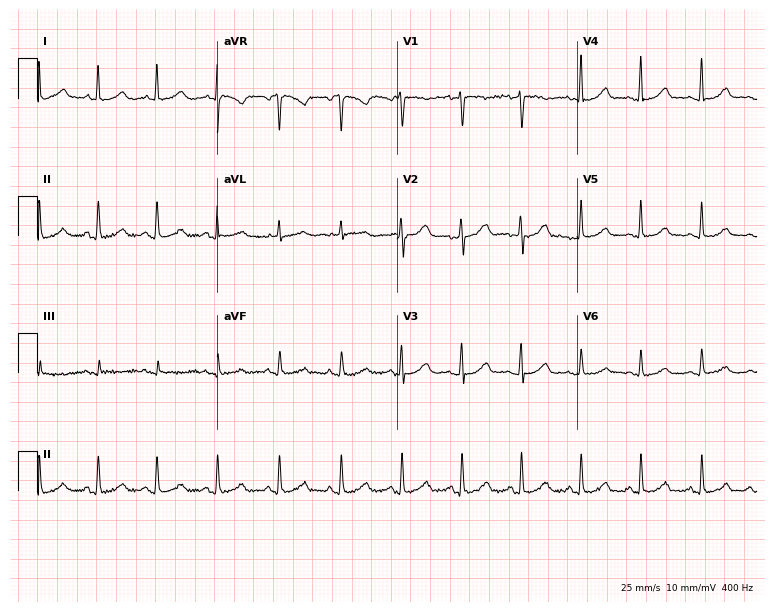
Electrocardiogram, a 30-year-old female patient. Of the six screened findings (first-degree AV block, right bundle branch block, left bundle branch block, sinus bradycardia, atrial fibrillation, sinus tachycardia), none is recorded.